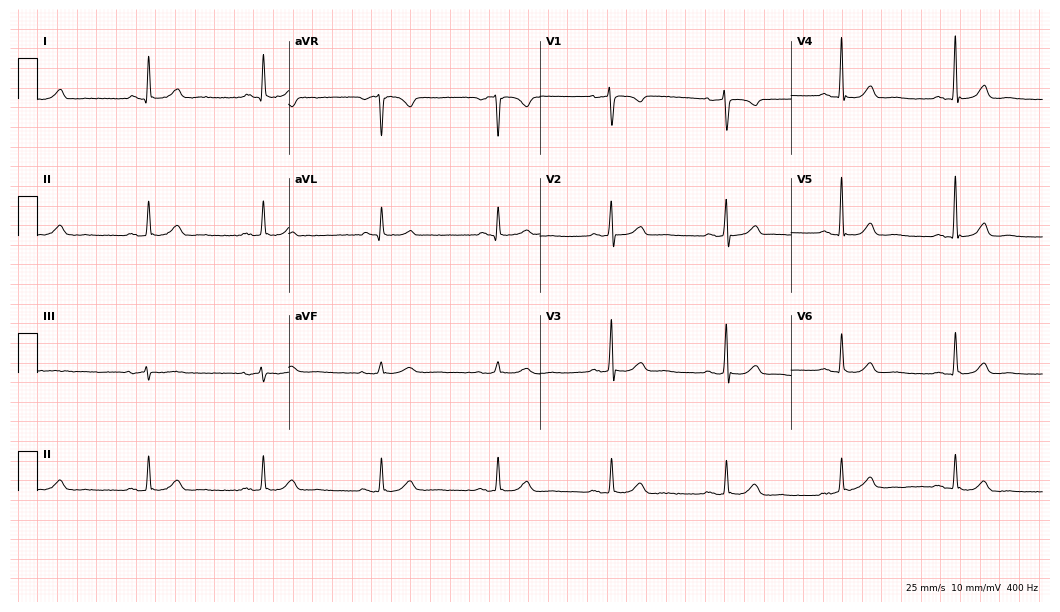
12-lead ECG (10.2-second recording at 400 Hz) from a 65-year-old woman. Labelled as a normal ECG.